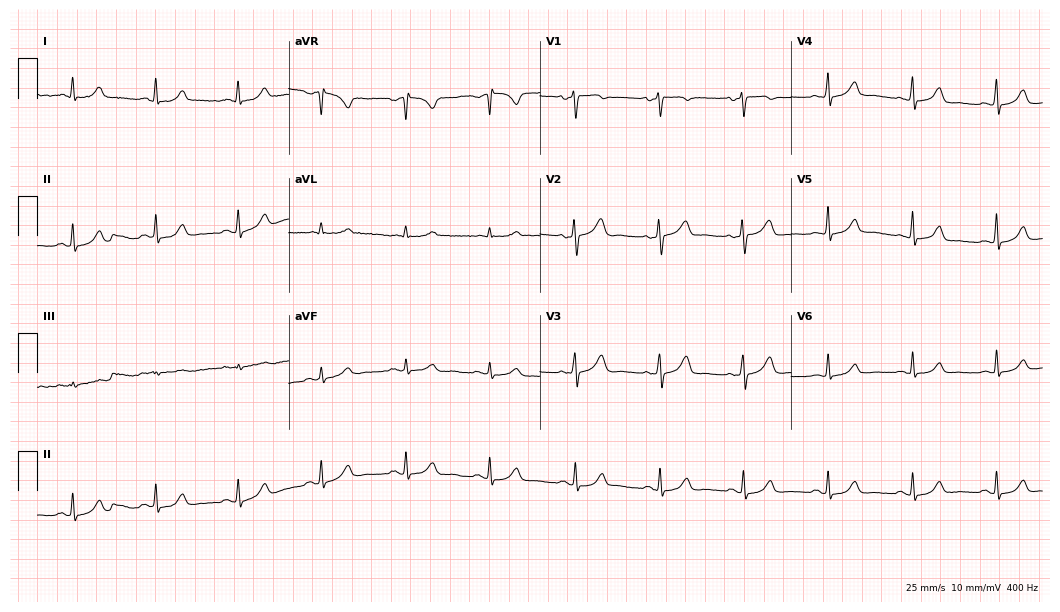
Electrocardiogram, a woman, 46 years old. Overall reading on record: normal ECG.